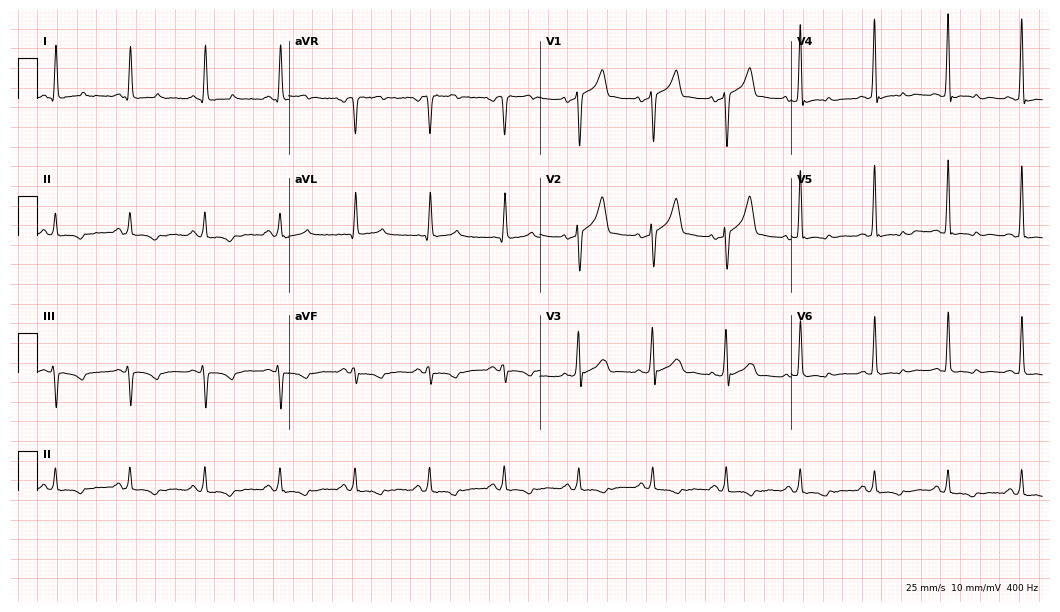
Electrocardiogram, a man, 60 years old. Of the six screened findings (first-degree AV block, right bundle branch block, left bundle branch block, sinus bradycardia, atrial fibrillation, sinus tachycardia), none is recorded.